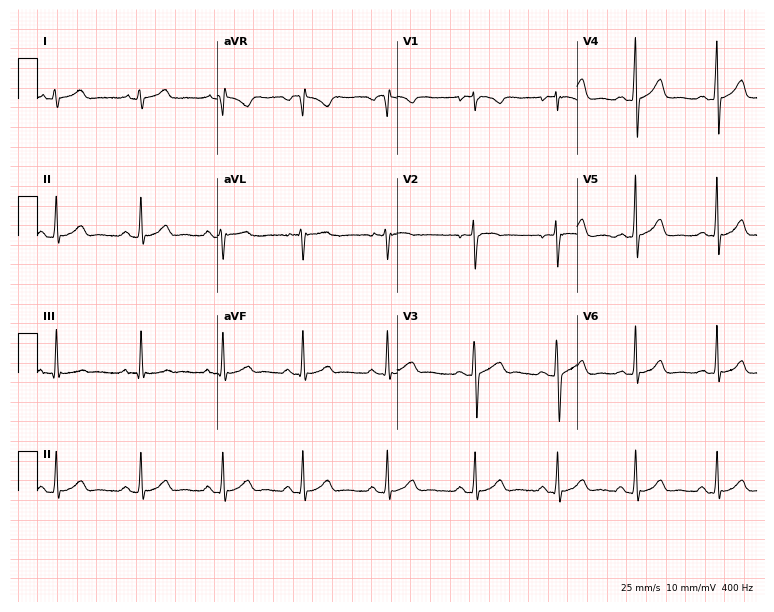
Electrocardiogram, a female patient, 18 years old. Overall reading on record: normal ECG.